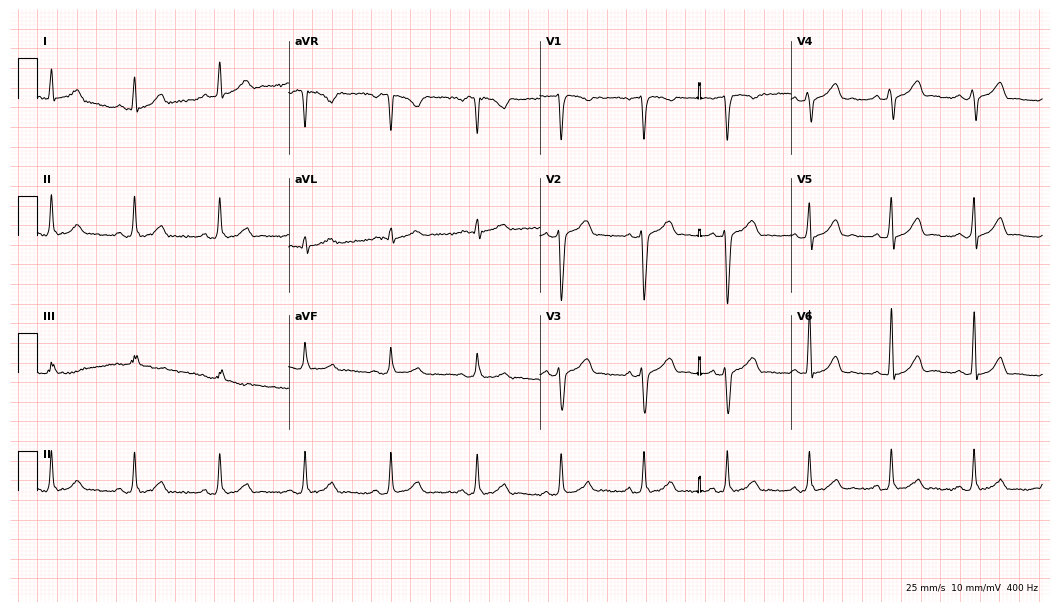
12-lead ECG from a 39-year-old male. Screened for six findings — first-degree AV block, right bundle branch block, left bundle branch block, sinus bradycardia, atrial fibrillation, sinus tachycardia — none is recorded.